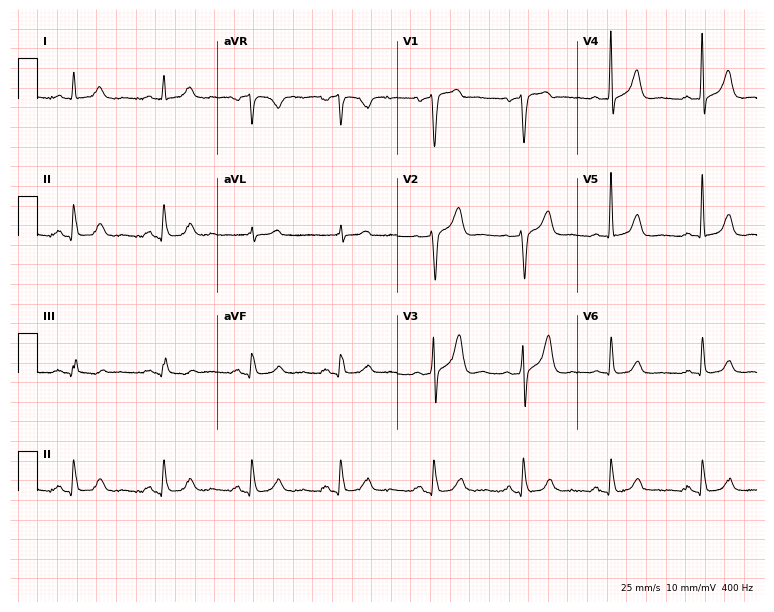
12-lead ECG from a 77-year-old man (7.3-second recording at 400 Hz). Recorded interpretation: within normal limits.